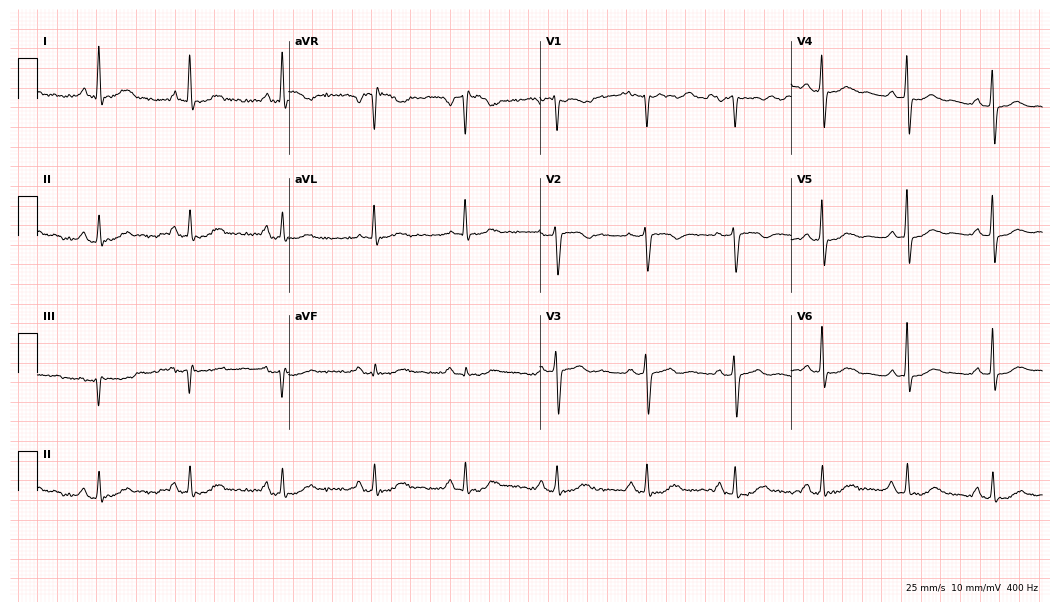
ECG (10.2-second recording at 400 Hz) — a woman, 68 years old. Screened for six findings — first-degree AV block, right bundle branch block (RBBB), left bundle branch block (LBBB), sinus bradycardia, atrial fibrillation (AF), sinus tachycardia — none is recorded.